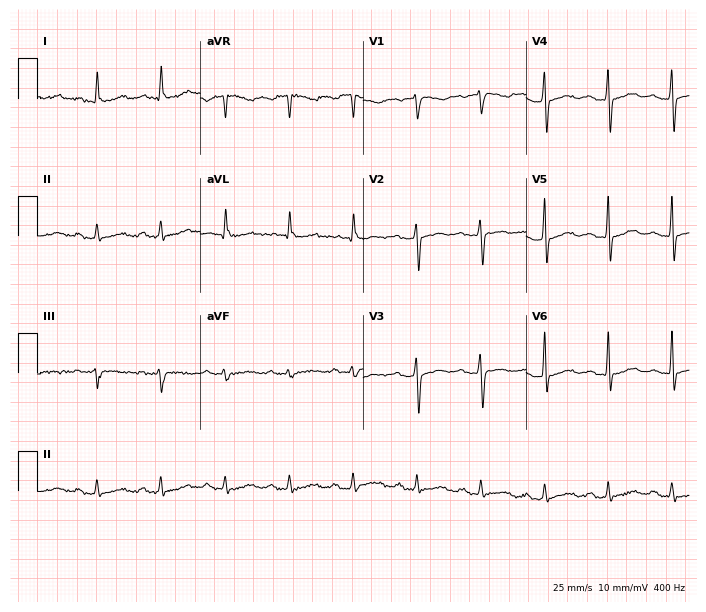
12-lead ECG (6.6-second recording at 400 Hz) from a 64-year-old female patient. Labelled as a normal ECG.